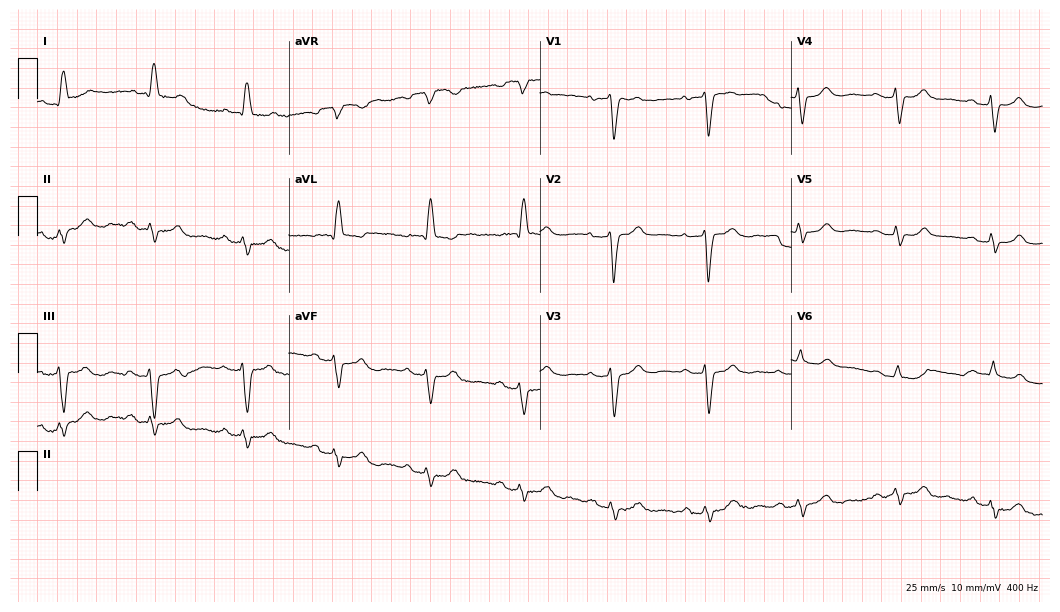
Resting 12-lead electrocardiogram. Patient: a 78-year-old female. None of these six findings is recorded: first-degree AV block, right bundle branch block, left bundle branch block, sinus bradycardia, atrial fibrillation, sinus tachycardia.